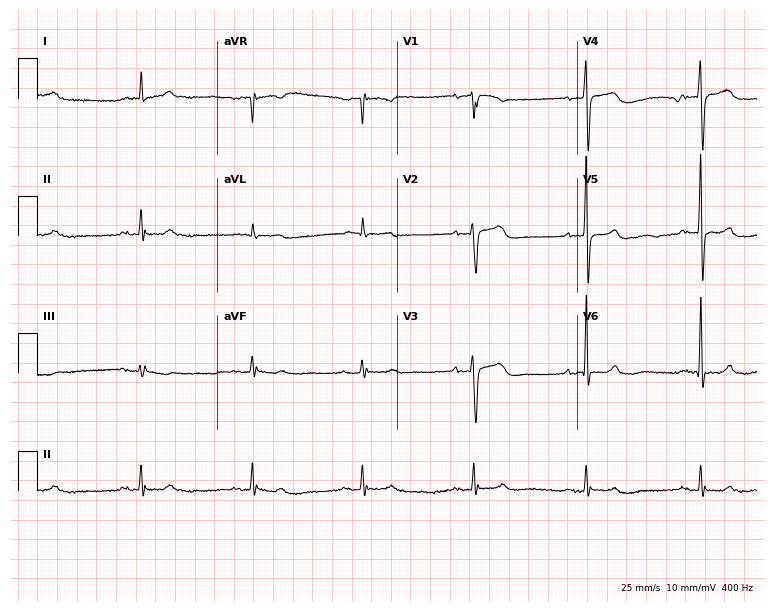
ECG (7.3-second recording at 400 Hz) — a 36-year-old man. Labelled as a normal ECG.